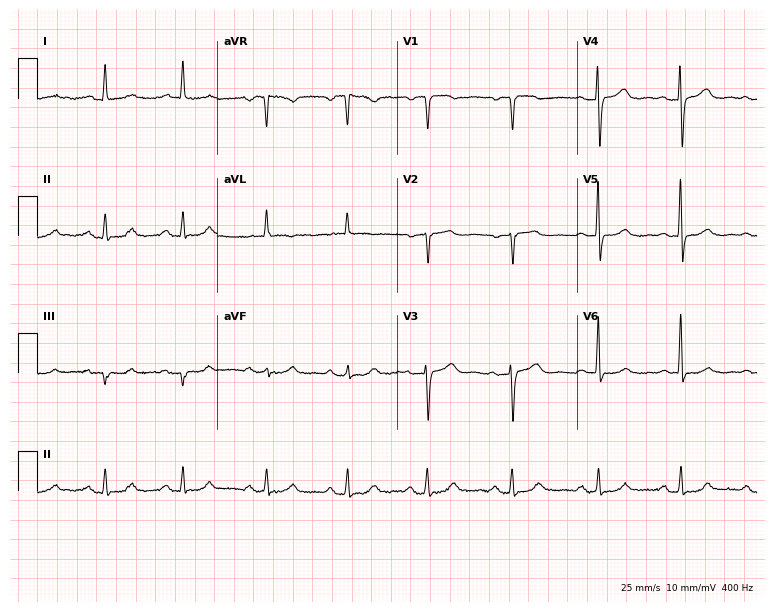
12-lead ECG from a 66-year-old female (7.3-second recording at 400 Hz). Recorded interpretation: within normal limits.